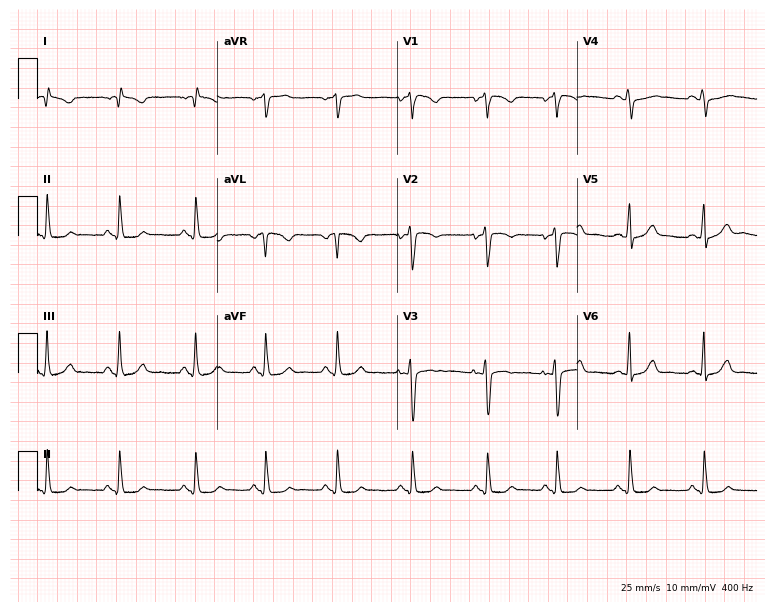
Resting 12-lead electrocardiogram. Patient: a 35-year-old woman. None of these six findings is recorded: first-degree AV block, right bundle branch block, left bundle branch block, sinus bradycardia, atrial fibrillation, sinus tachycardia.